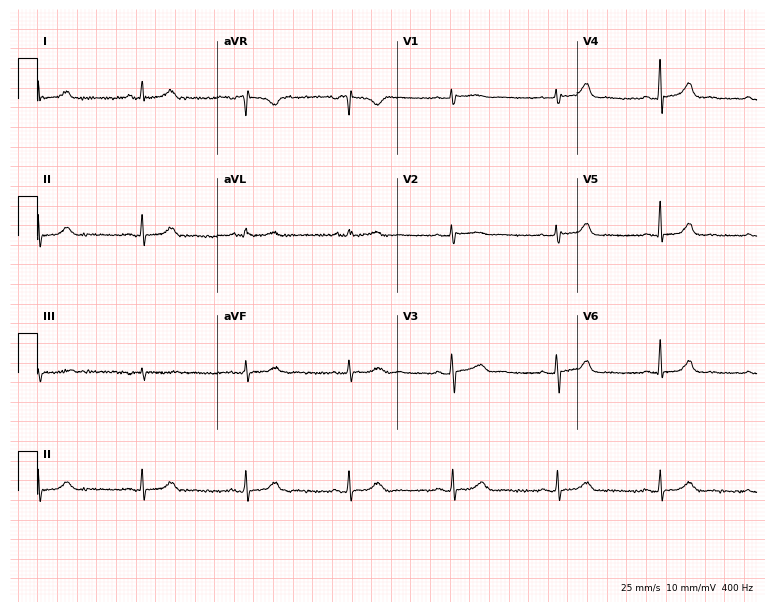
Electrocardiogram (7.3-second recording at 400 Hz), a 55-year-old female patient. Of the six screened findings (first-degree AV block, right bundle branch block, left bundle branch block, sinus bradycardia, atrial fibrillation, sinus tachycardia), none is recorded. Other findings, if any, are not listed.